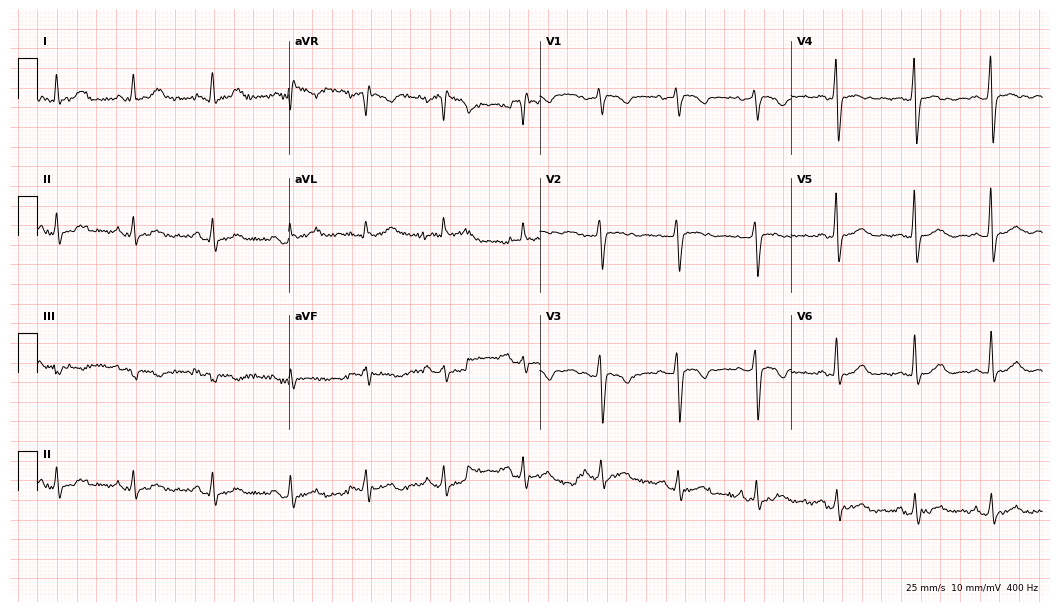
Resting 12-lead electrocardiogram. Patient: a 54-year-old female. None of these six findings is recorded: first-degree AV block, right bundle branch block, left bundle branch block, sinus bradycardia, atrial fibrillation, sinus tachycardia. Findings outside these six are not listed.